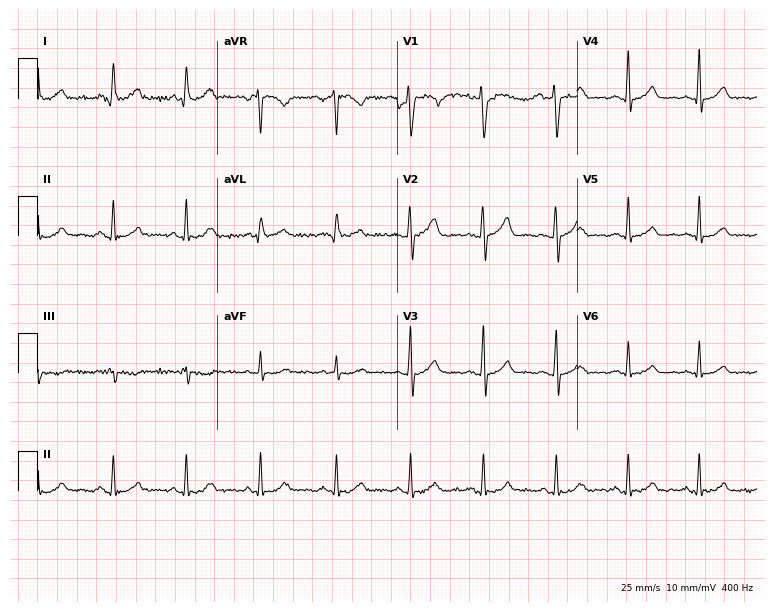
ECG — a female, 36 years old. Labelled as a normal ECG.